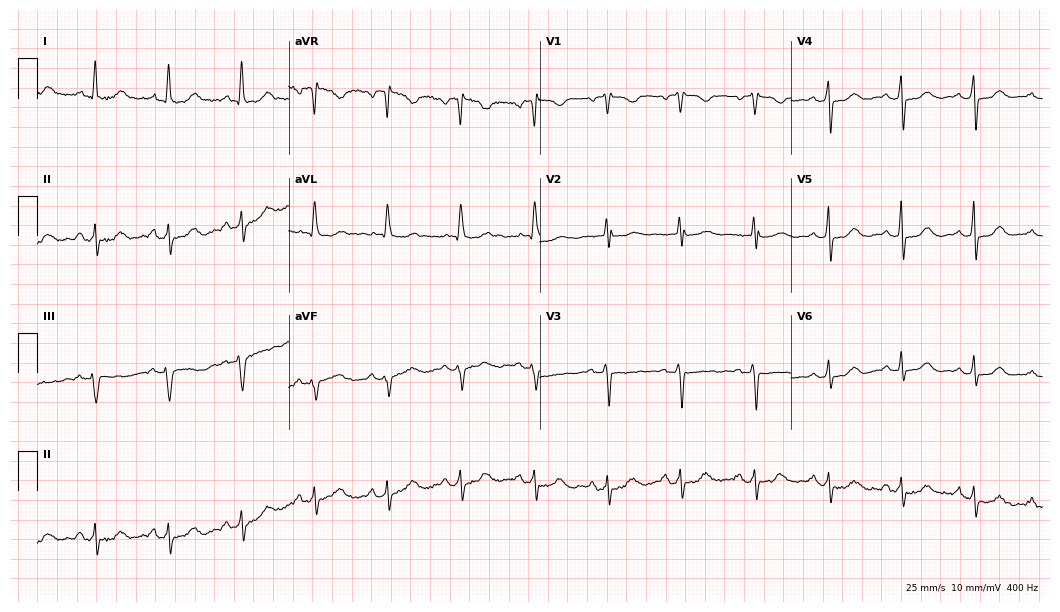
Electrocardiogram, a female, 71 years old. Of the six screened findings (first-degree AV block, right bundle branch block, left bundle branch block, sinus bradycardia, atrial fibrillation, sinus tachycardia), none is recorded. Only these six findings were labelled.